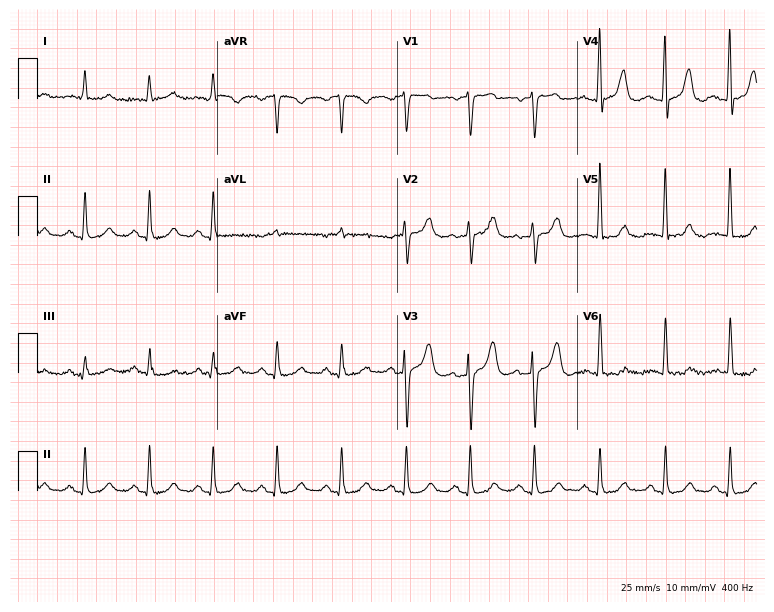
Standard 12-lead ECG recorded from a female patient, 83 years old (7.3-second recording at 400 Hz). None of these six findings is recorded: first-degree AV block, right bundle branch block (RBBB), left bundle branch block (LBBB), sinus bradycardia, atrial fibrillation (AF), sinus tachycardia. Only these six findings were labelled.